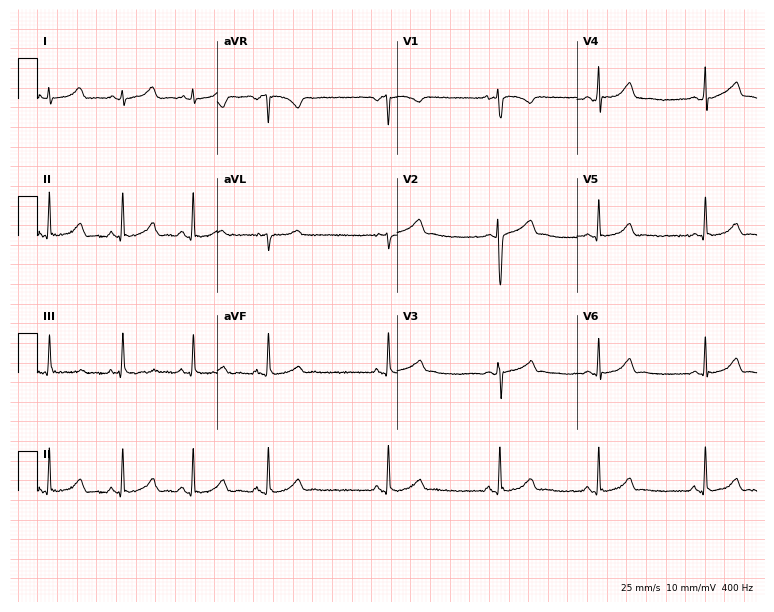
12-lead ECG from a 20-year-old female patient (7.3-second recording at 400 Hz). Recorded interpretation: within normal limits.